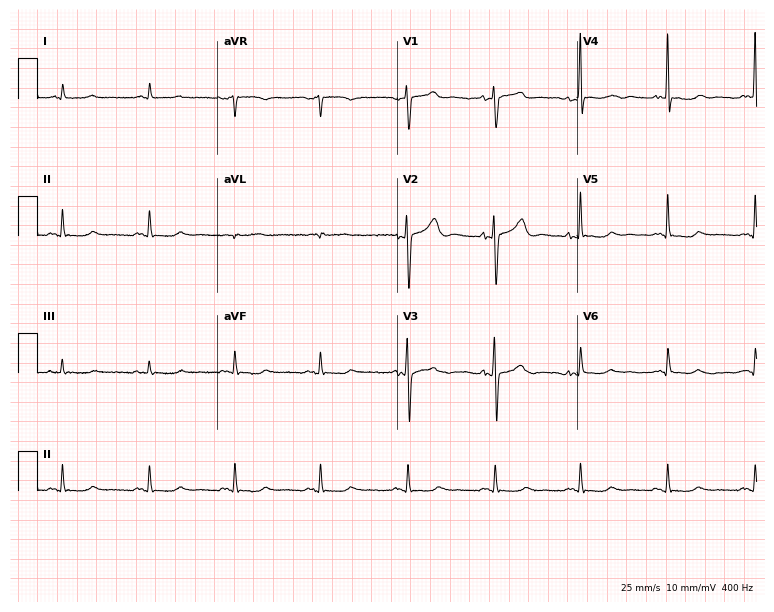
12-lead ECG from a male, 59 years old (7.3-second recording at 400 Hz). No first-degree AV block, right bundle branch block, left bundle branch block, sinus bradycardia, atrial fibrillation or sinus tachycardia recorded for this tracing. Other findings, if any, are not listed.